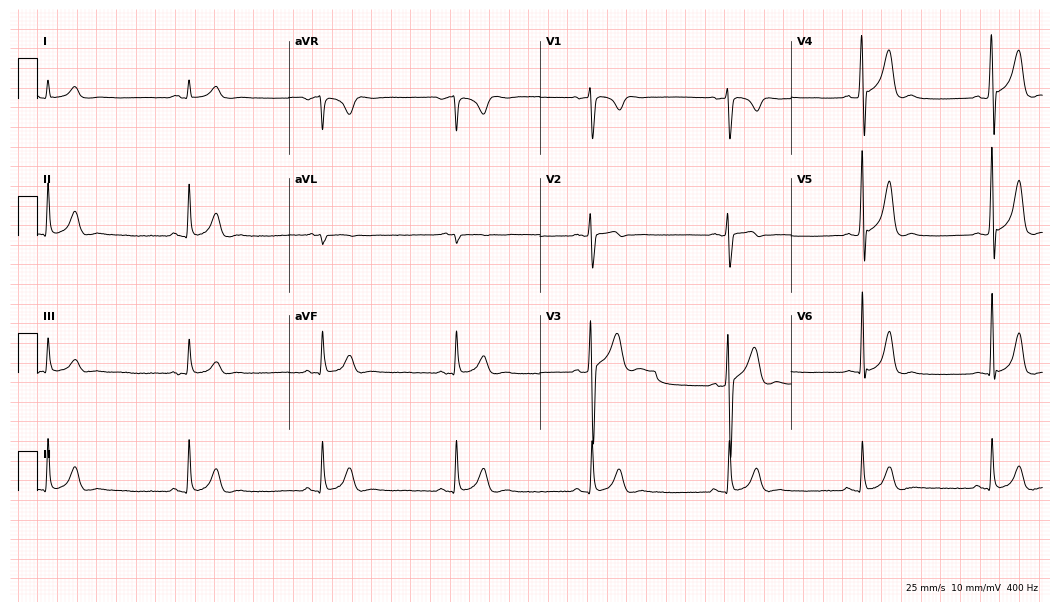
12-lead ECG from a female patient, 26 years old. Shows sinus bradycardia (a sinus rate of 50 beats per minute or less).